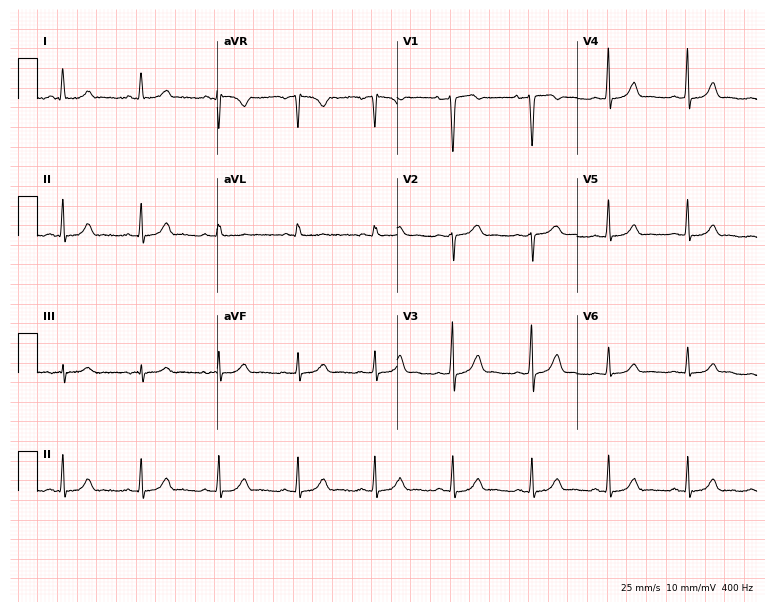
Standard 12-lead ECG recorded from a 33-year-old woman. Read as a normal ECG.